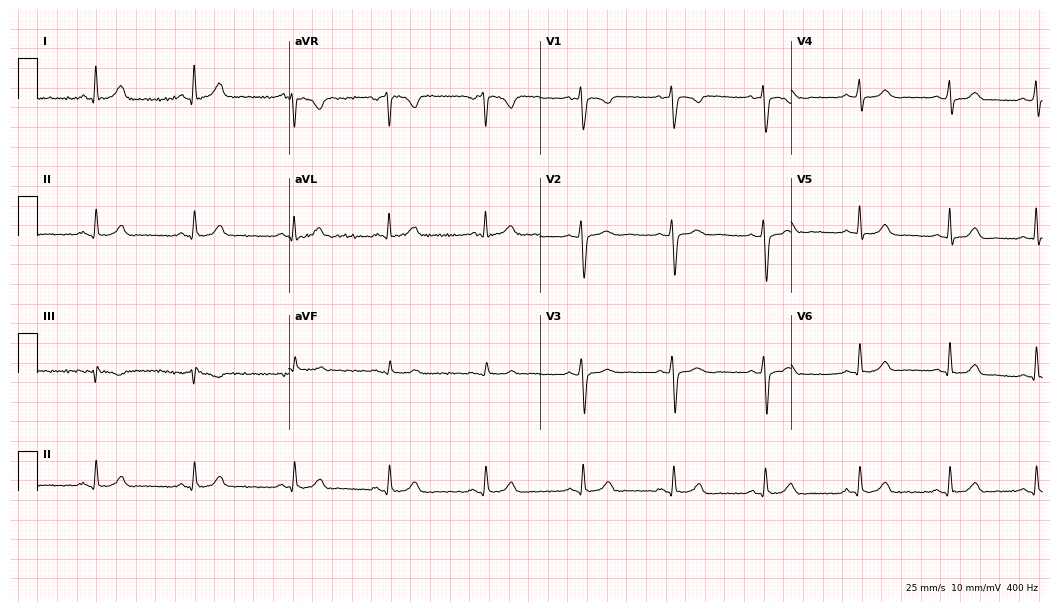
Standard 12-lead ECG recorded from a woman, 41 years old (10.2-second recording at 400 Hz). None of these six findings is recorded: first-degree AV block, right bundle branch block, left bundle branch block, sinus bradycardia, atrial fibrillation, sinus tachycardia.